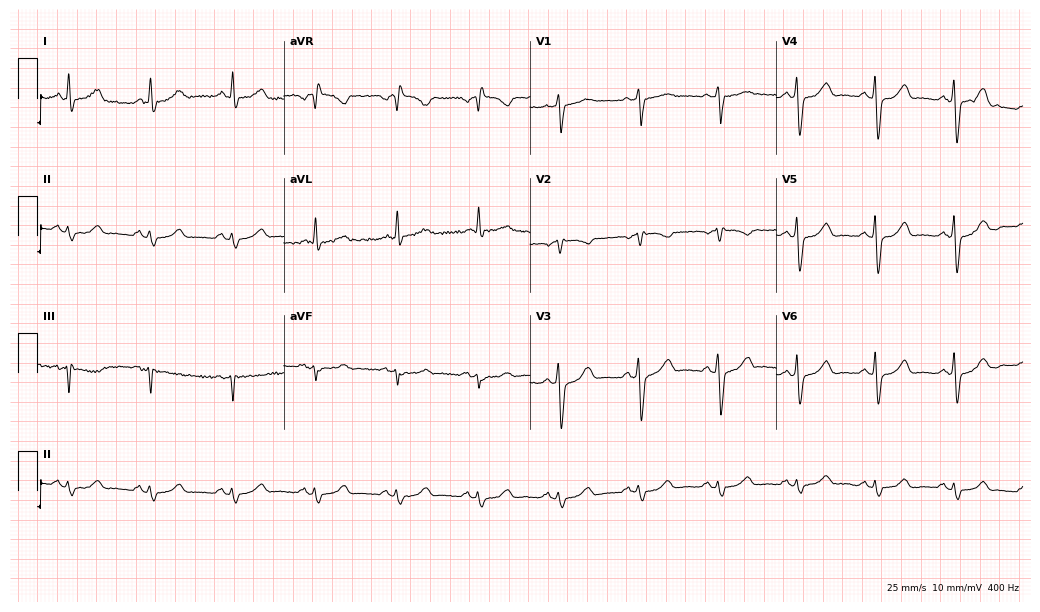
Resting 12-lead electrocardiogram. Patient: a 75-year-old male. None of these six findings is recorded: first-degree AV block, right bundle branch block, left bundle branch block, sinus bradycardia, atrial fibrillation, sinus tachycardia. Findings outside these six are not listed.